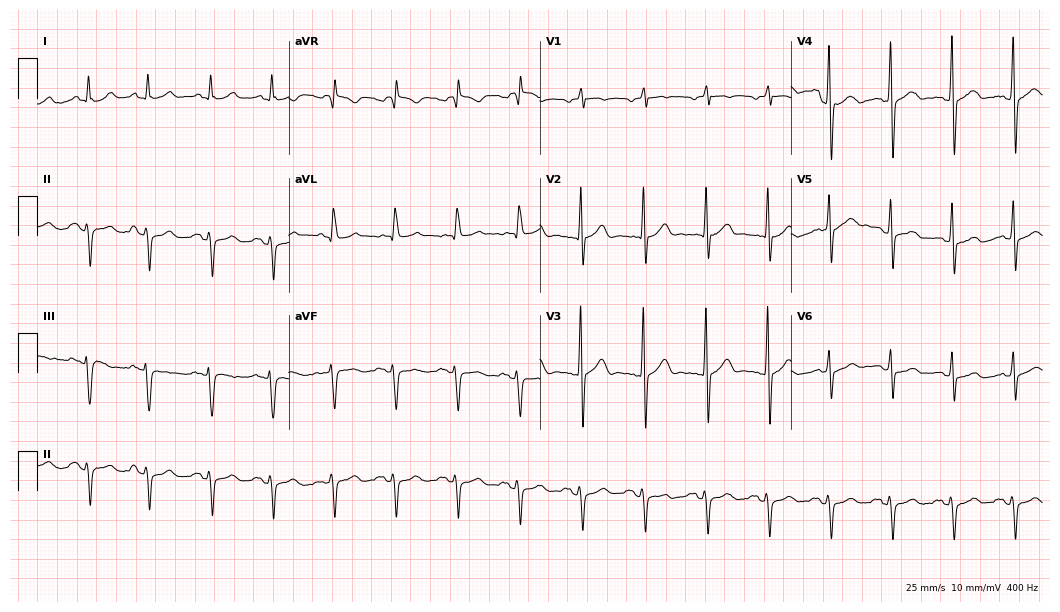
Electrocardiogram (10.2-second recording at 400 Hz), a male patient, 72 years old. Of the six screened findings (first-degree AV block, right bundle branch block, left bundle branch block, sinus bradycardia, atrial fibrillation, sinus tachycardia), none is recorded. Other findings, if any, are not listed.